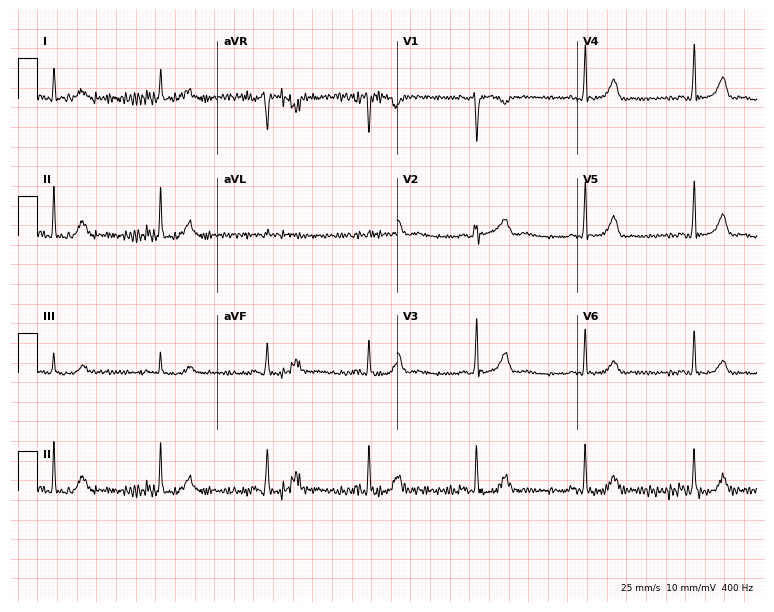
12-lead ECG from a woman, 37 years old. Recorded interpretation: within normal limits.